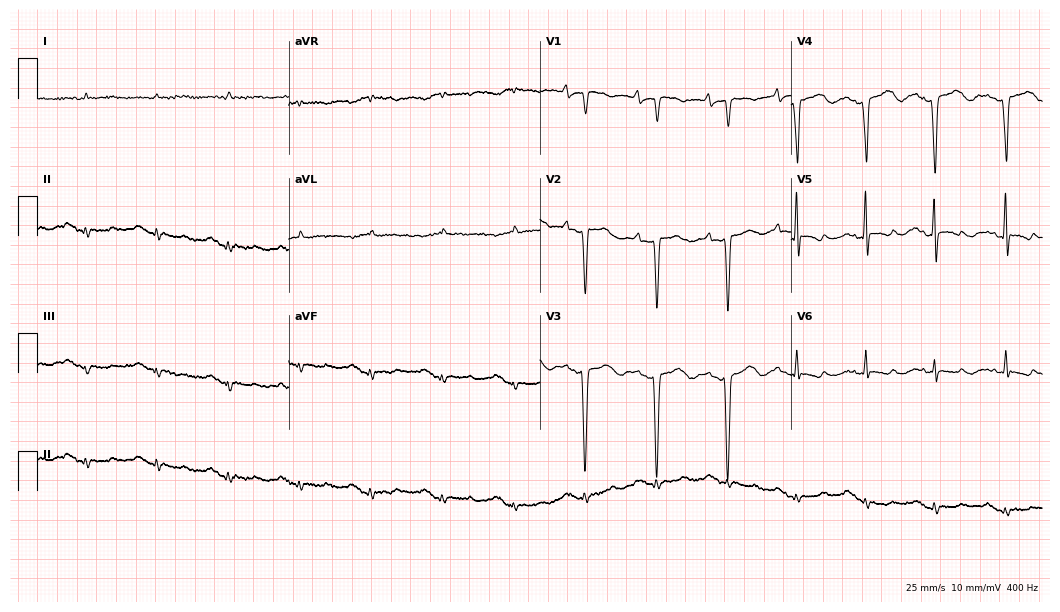
12-lead ECG (10.2-second recording at 400 Hz) from an 88-year-old woman. Screened for six findings — first-degree AV block, right bundle branch block (RBBB), left bundle branch block (LBBB), sinus bradycardia, atrial fibrillation (AF), sinus tachycardia — none is recorded.